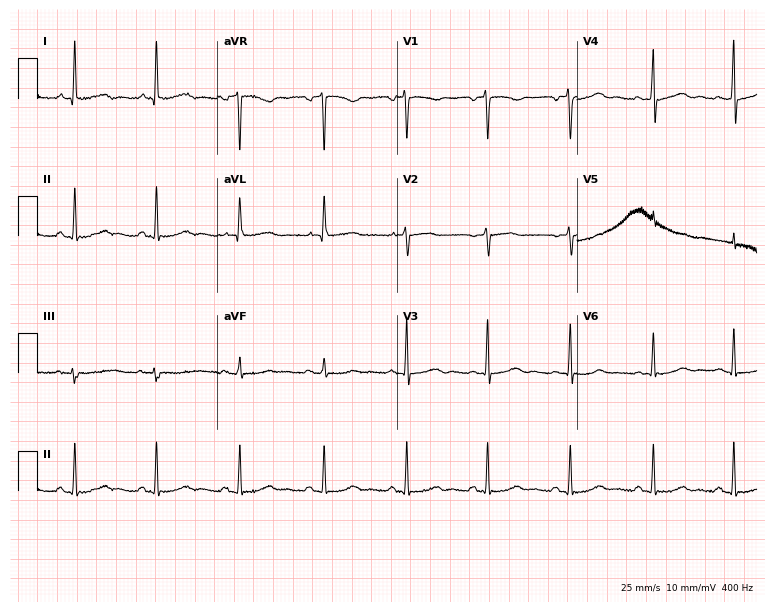
Electrocardiogram, a woman, 70 years old. Of the six screened findings (first-degree AV block, right bundle branch block (RBBB), left bundle branch block (LBBB), sinus bradycardia, atrial fibrillation (AF), sinus tachycardia), none is recorded.